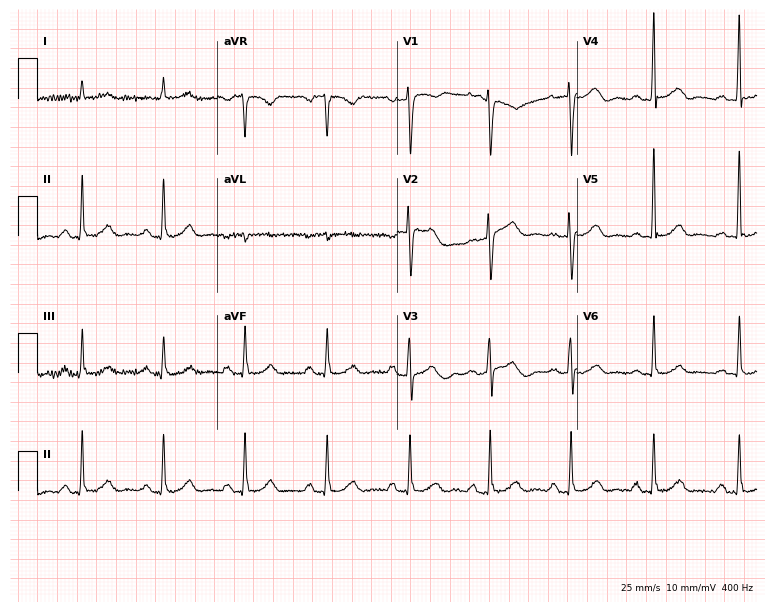
Standard 12-lead ECG recorded from a female, 67 years old. Read as a normal ECG.